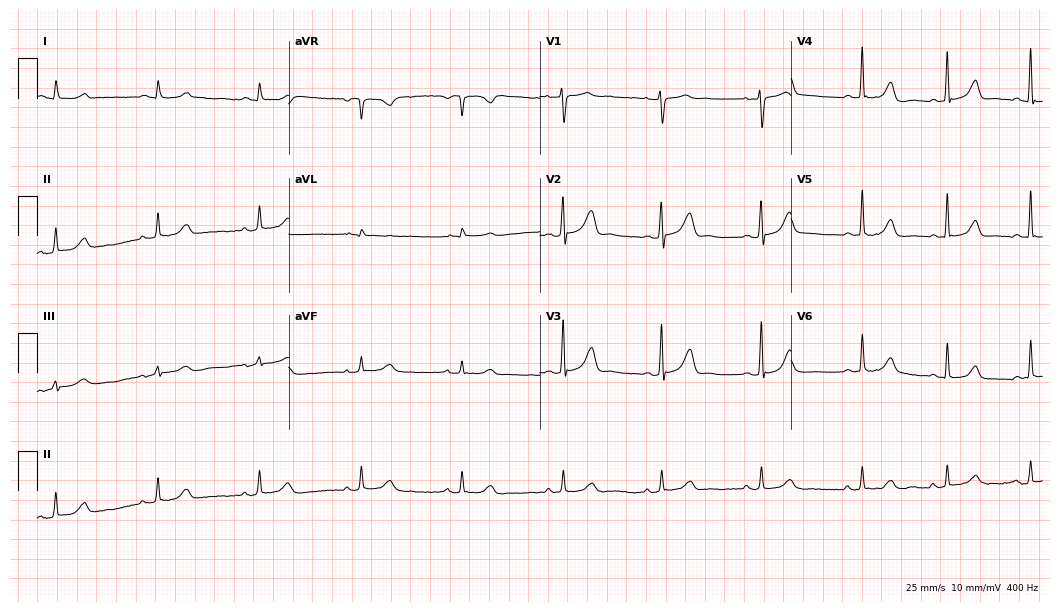
Electrocardiogram, a 34-year-old female patient. Overall reading on record: normal ECG.